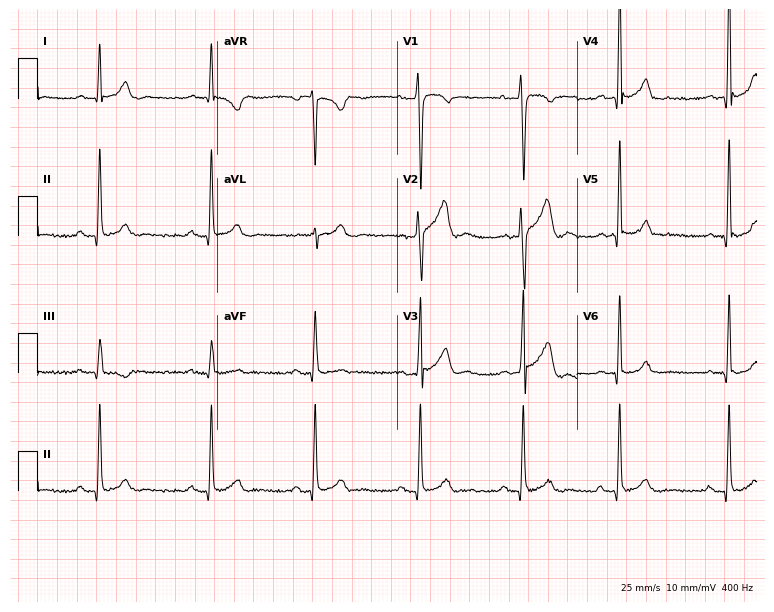
Electrocardiogram, a man, 24 years old. Overall reading on record: normal ECG.